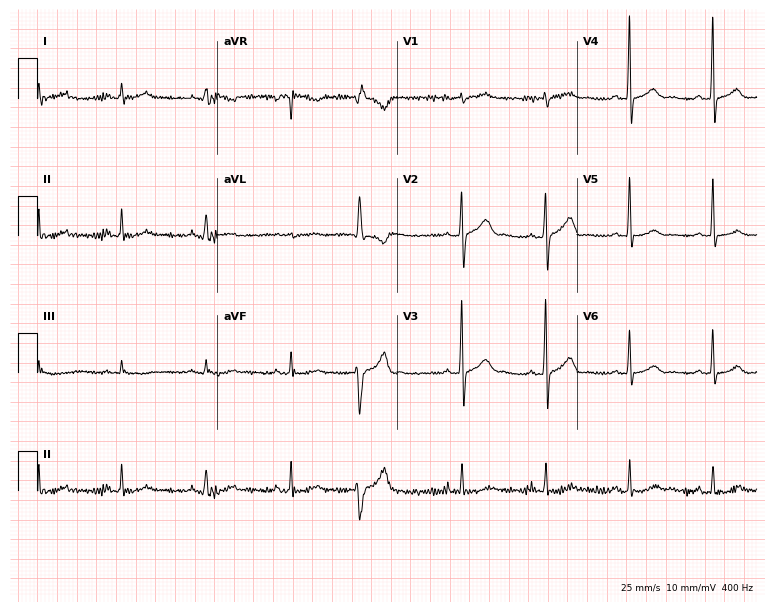
12-lead ECG from a male, 66 years old (7.3-second recording at 400 Hz). No first-degree AV block, right bundle branch block, left bundle branch block, sinus bradycardia, atrial fibrillation or sinus tachycardia recorded for this tracing. Findings outside these six are not listed.